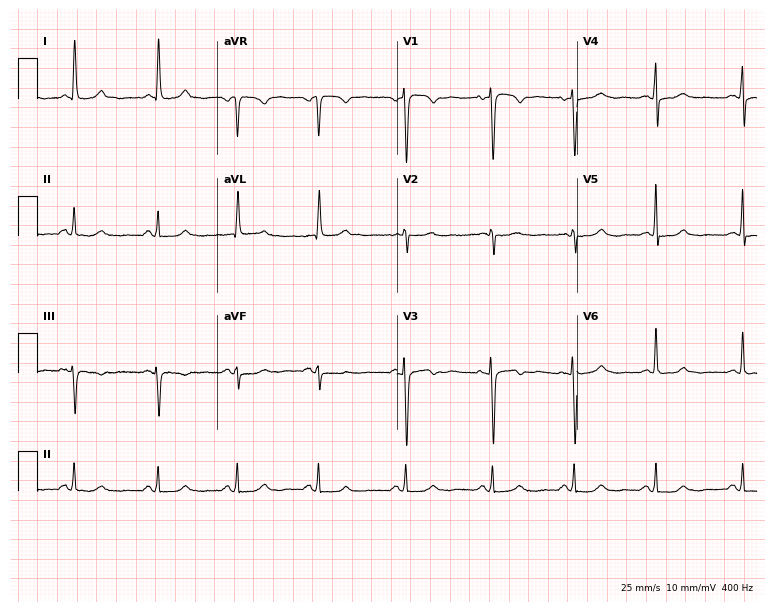
Standard 12-lead ECG recorded from a 67-year-old female. None of these six findings is recorded: first-degree AV block, right bundle branch block, left bundle branch block, sinus bradycardia, atrial fibrillation, sinus tachycardia. Only these six findings were labelled.